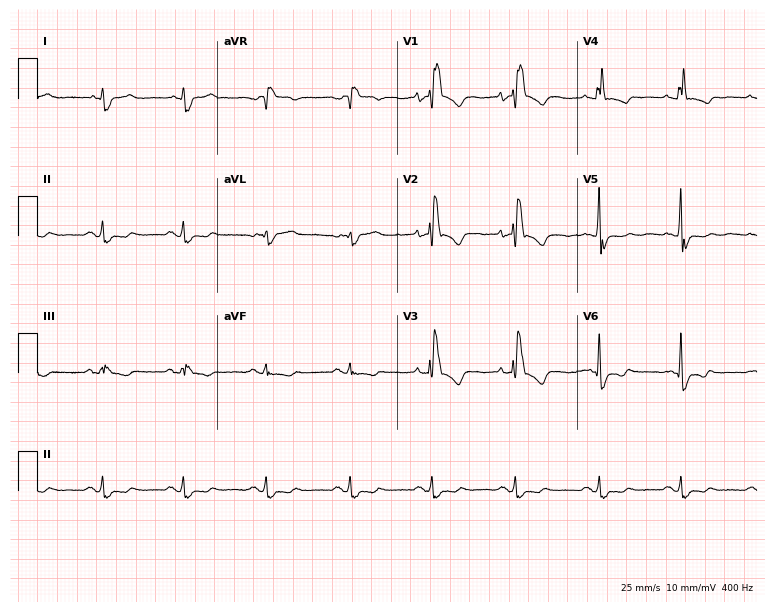
Standard 12-lead ECG recorded from a male, 79 years old (7.3-second recording at 400 Hz). None of these six findings is recorded: first-degree AV block, right bundle branch block (RBBB), left bundle branch block (LBBB), sinus bradycardia, atrial fibrillation (AF), sinus tachycardia. Only these six findings were labelled.